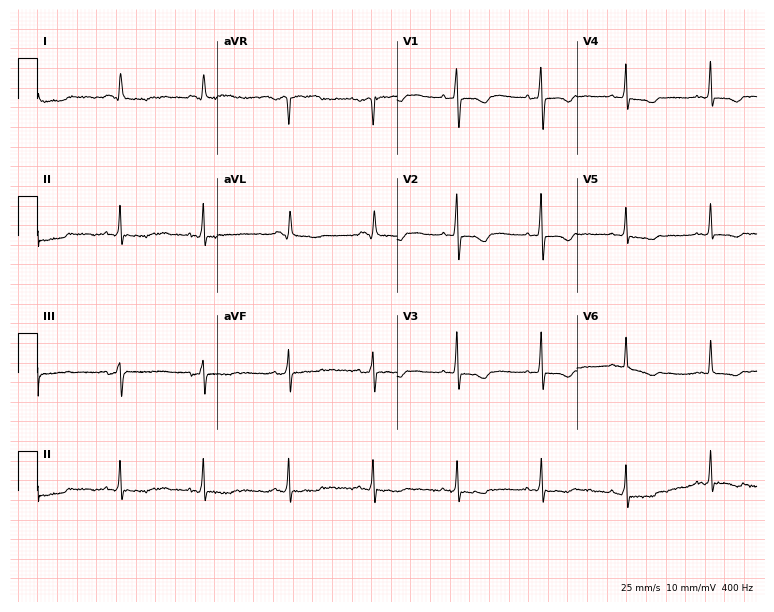
12-lead ECG from a female patient, 73 years old. Screened for six findings — first-degree AV block, right bundle branch block, left bundle branch block, sinus bradycardia, atrial fibrillation, sinus tachycardia — none is recorded.